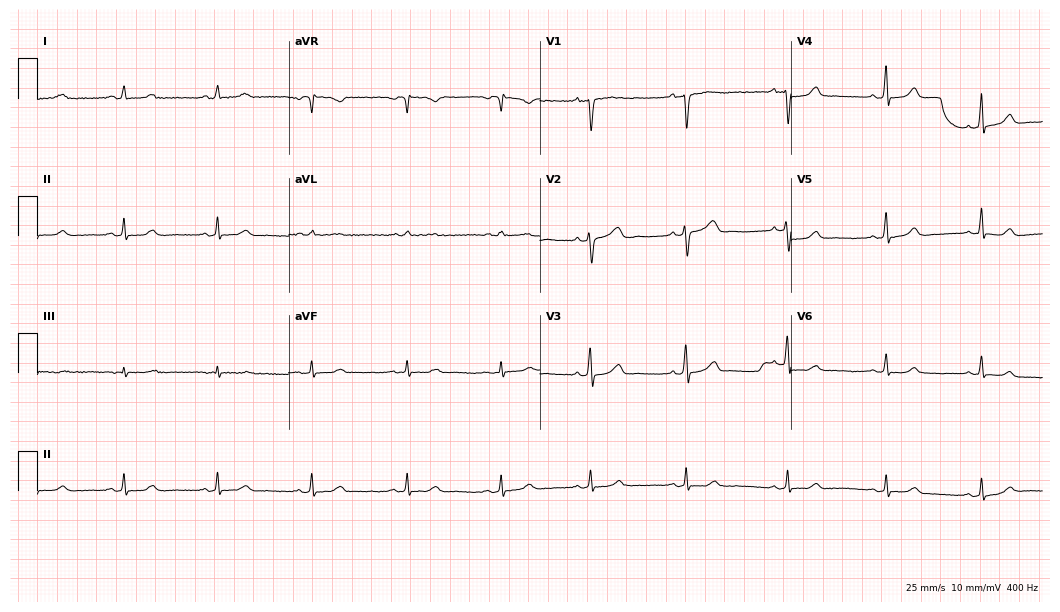
Resting 12-lead electrocardiogram (10.2-second recording at 400 Hz). Patient: a woman, 32 years old. None of these six findings is recorded: first-degree AV block, right bundle branch block, left bundle branch block, sinus bradycardia, atrial fibrillation, sinus tachycardia.